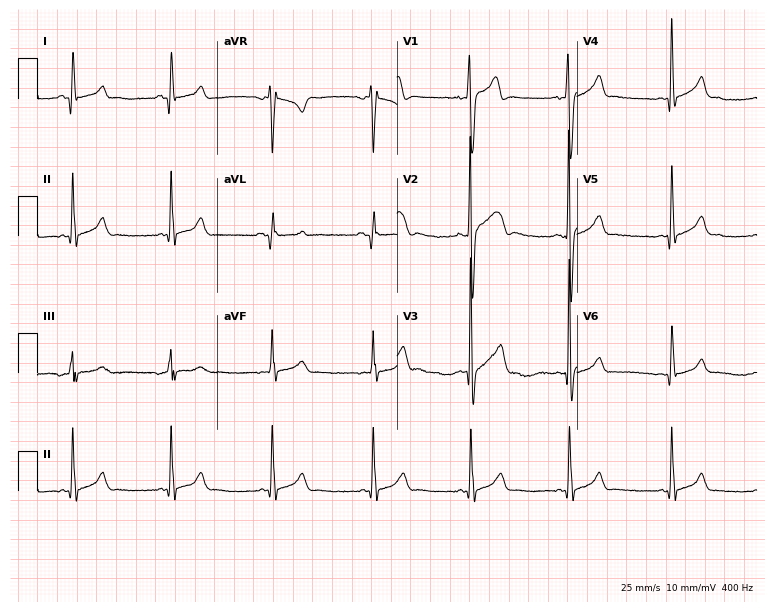
12-lead ECG from a 17-year-old man. No first-degree AV block, right bundle branch block, left bundle branch block, sinus bradycardia, atrial fibrillation or sinus tachycardia recorded for this tracing. Other findings, if any, are not listed.